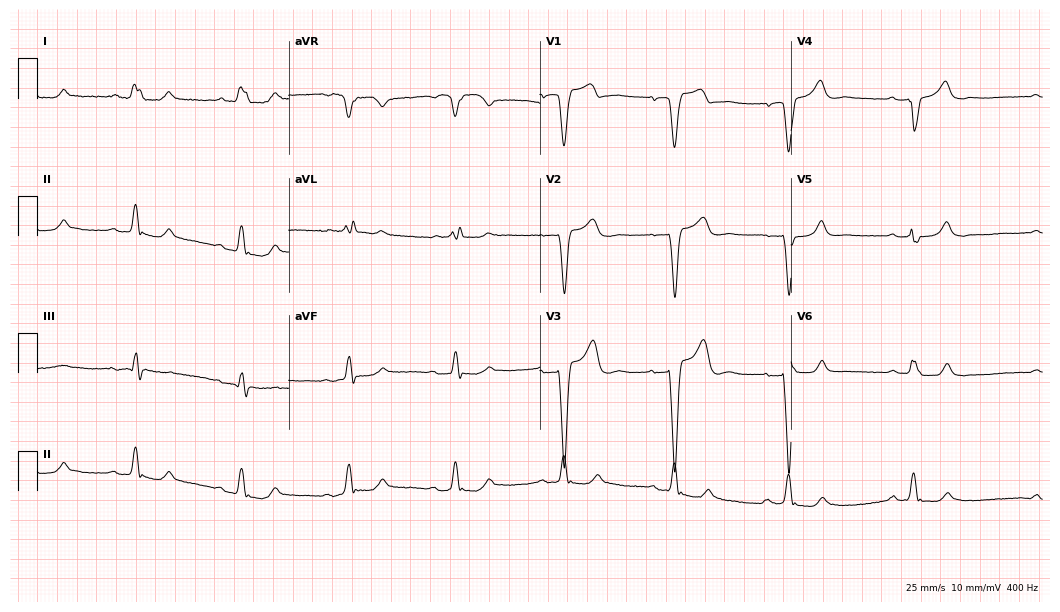
Resting 12-lead electrocardiogram. Patient: a woman, 74 years old. The tracing shows left bundle branch block (LBBB).